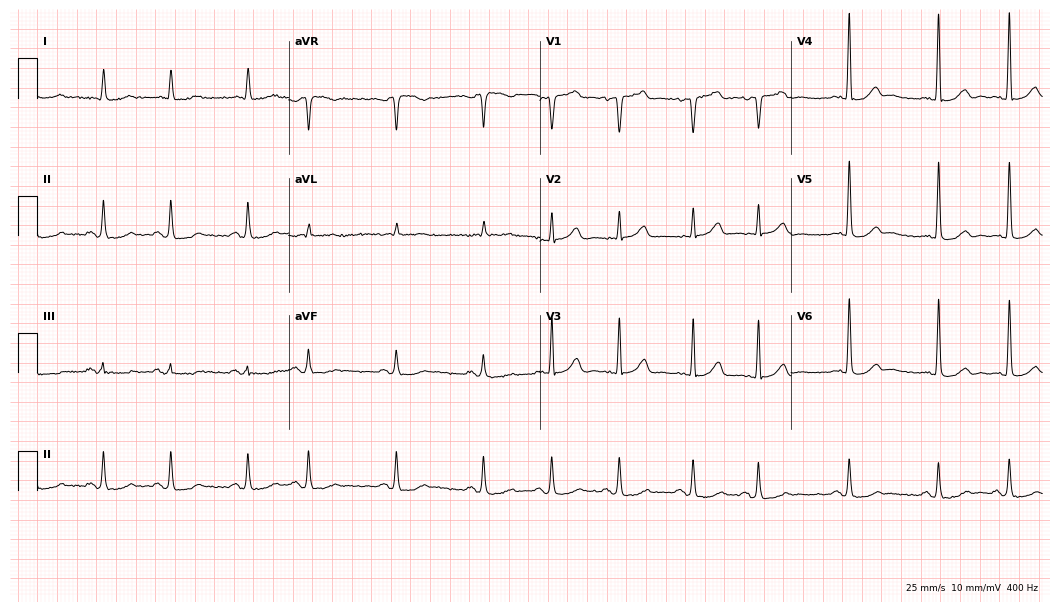
ECG (10.2-second recording at 400 Hz) — a 71-year-old female. Screened for six findings — first-degree AV block, right bundle branch block, left bundle branch block, sinus bradycardia, atrial fibrillation, sinus tachycardia — none is recorded.